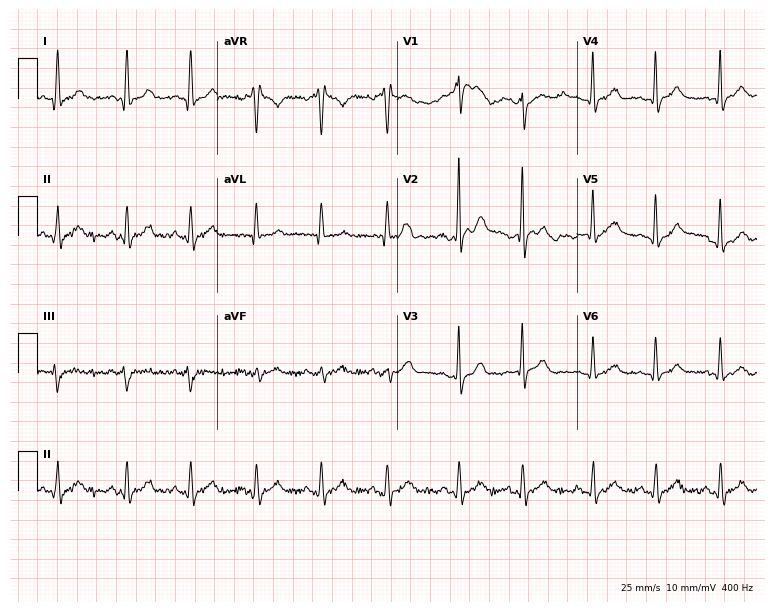
12-lead ECG from a 27-year-old man. Screened for six findings — first-degree AV block, right bundle branch block, left bundle branch block, sinus bradycardia, atrial fibrillation, sinus tachycardia — none is recorded.